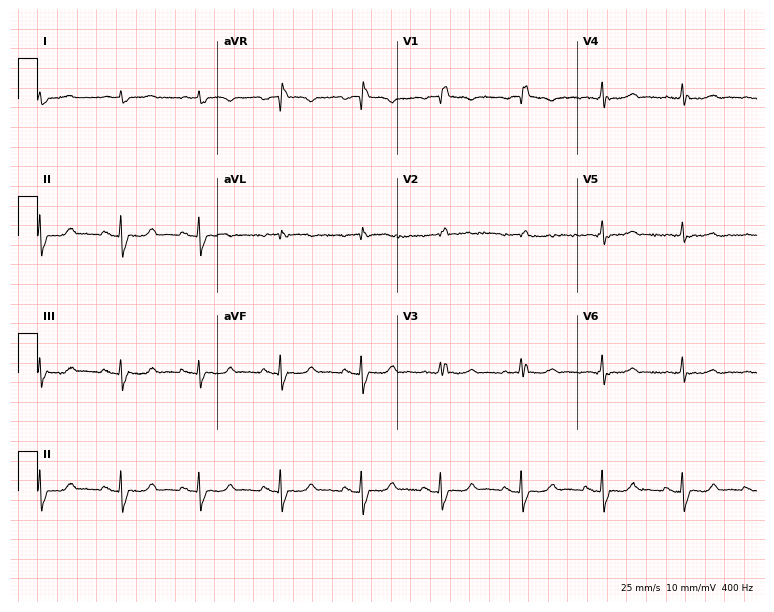
Standard 12-lead ECG recorded from a female patient, 76 years old (7.3-second recording at 400 Hz). None of these six findings is recorded: first-degree AV block, right bundle branch block, left bundle branch block, sinus bradycardia, atrial fibrillation, sinus tachycardia.